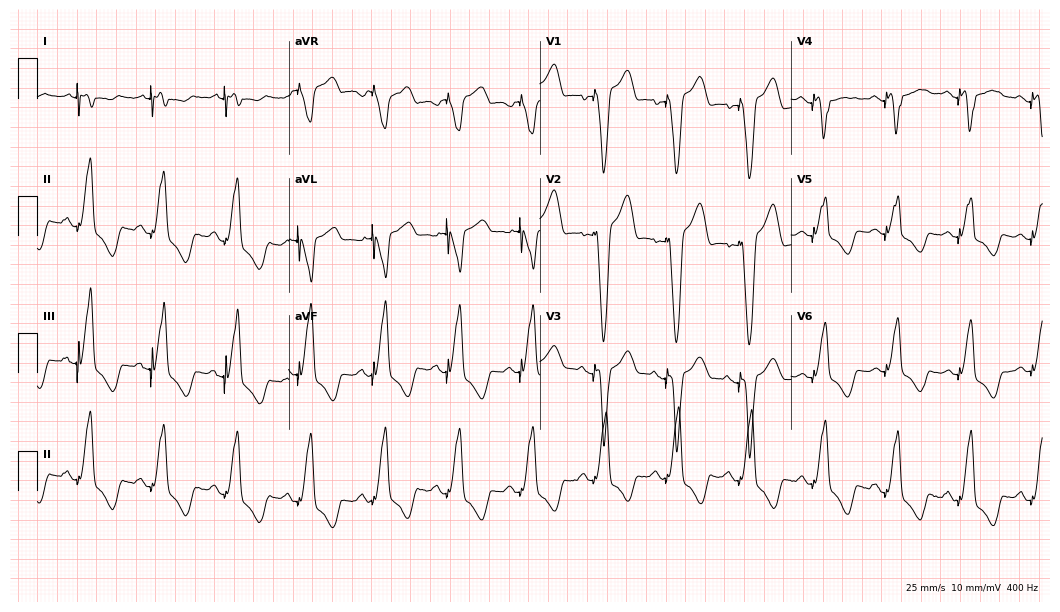
Standard 12-lead ECG recorded from a 74-year-old woman. None of these six findings is recorded: first-degree AV block, right bundle branch block (RBBB), left bundle branch block (LBBB), sinus bradycardia, atrial fibrillation (AF), sinus tachycardia.